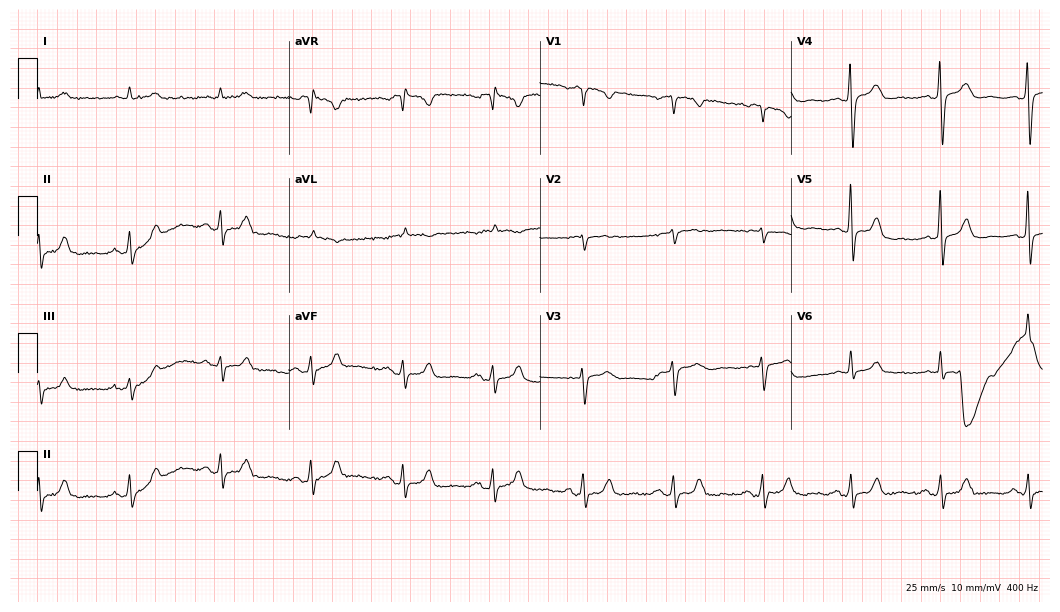
Resting 12-lead electrocardiogram. Patient: a 71-year-old male. None of these six findings is recorded: first-degree AV block, right bundle branch block, left bundle branch block, sinus bradycardia, atrial fibrillation, sinus tachycardia. Only these six findings were labelled.